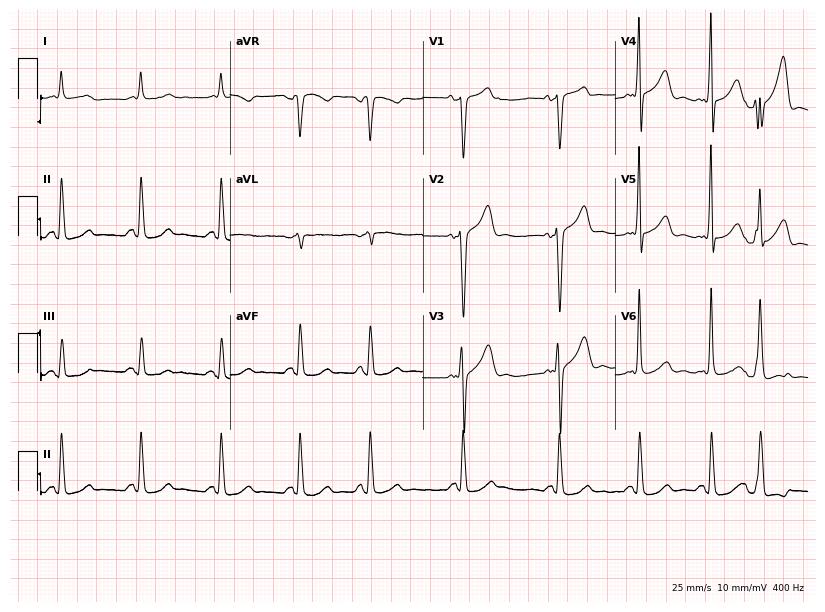
Standard 12-lead ECG recorded from a 59-year-old male patient (7.9-second recording at 400 Hz). None of these six findings is recorded: first-degree AV block, right bundle branch block, left bundle branch block, sinus bradycardia, atrial fibrillation, sinus tachycardia. Only these six findings were labelled.